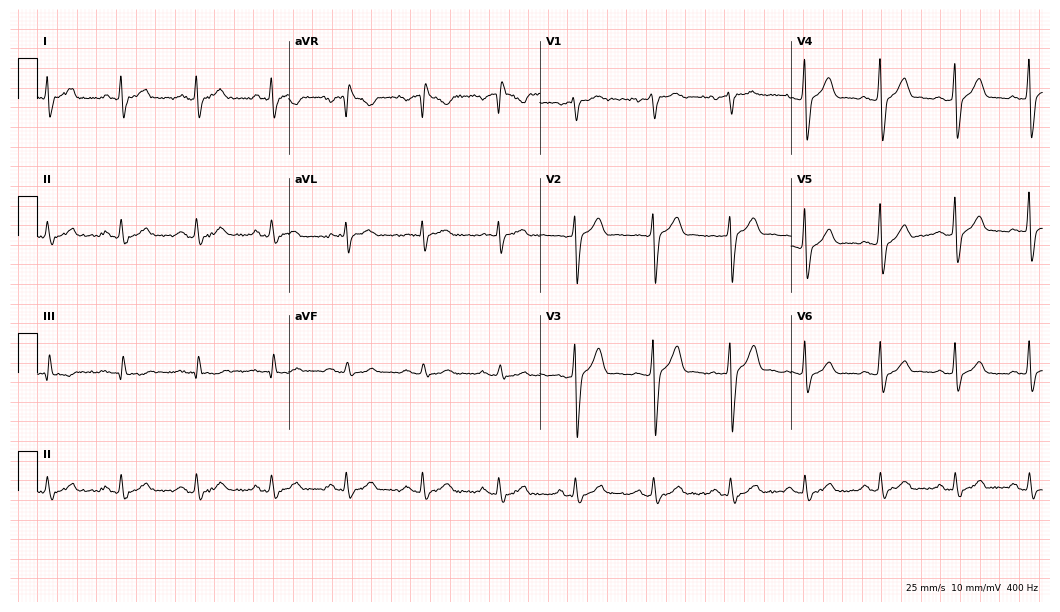
Resting 12-lead electrocardiogram (10.2-second recording at 400 Hz). Patient: a 43-year-old male. None of these six findings is recorded: first-degree AV block, right bundle branch block, left bundle branch block, sinus bradycardia, atrial fibrillation, sinus tachycardia.